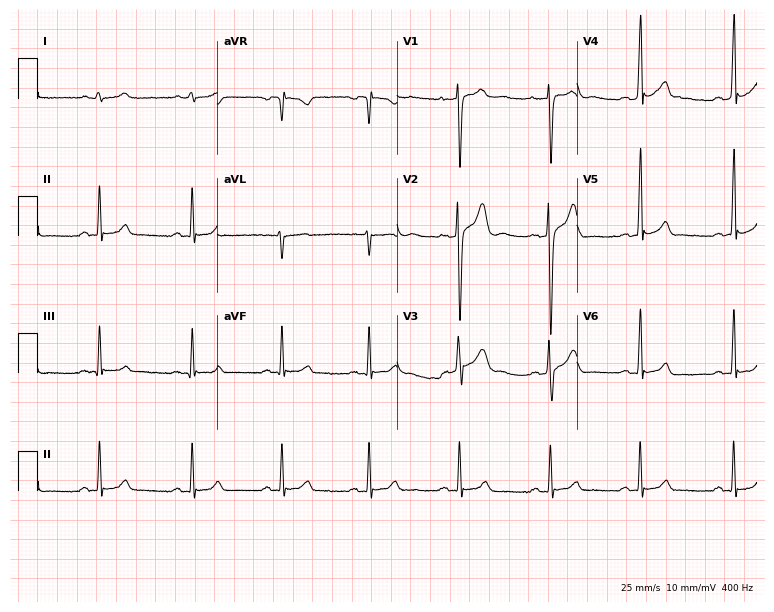
Standard 12-lead ECG recorded from a 21-year-old male patient (7.3-second recording at 400 Hz). Read as a normal ECG.